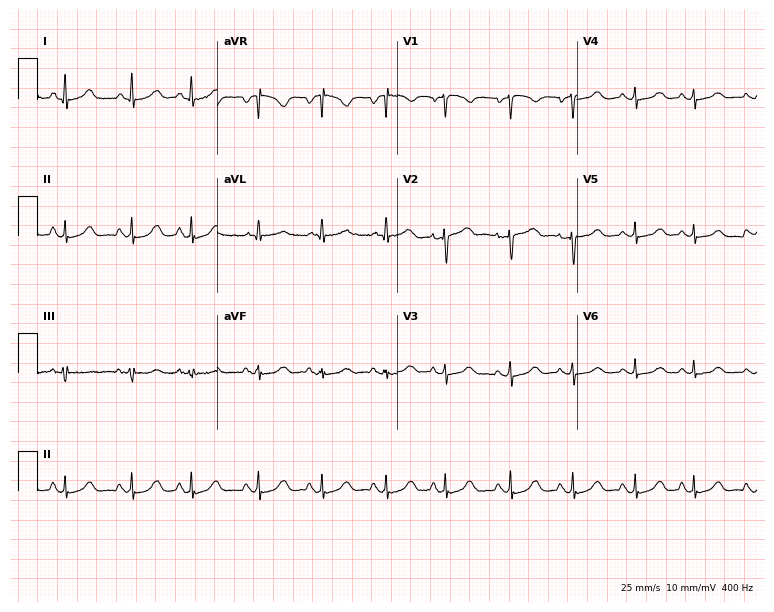
12-lead ECG (7.3-second recording at 400 Hz) from a woman, 68 years old. Labelled as a normal ECG.